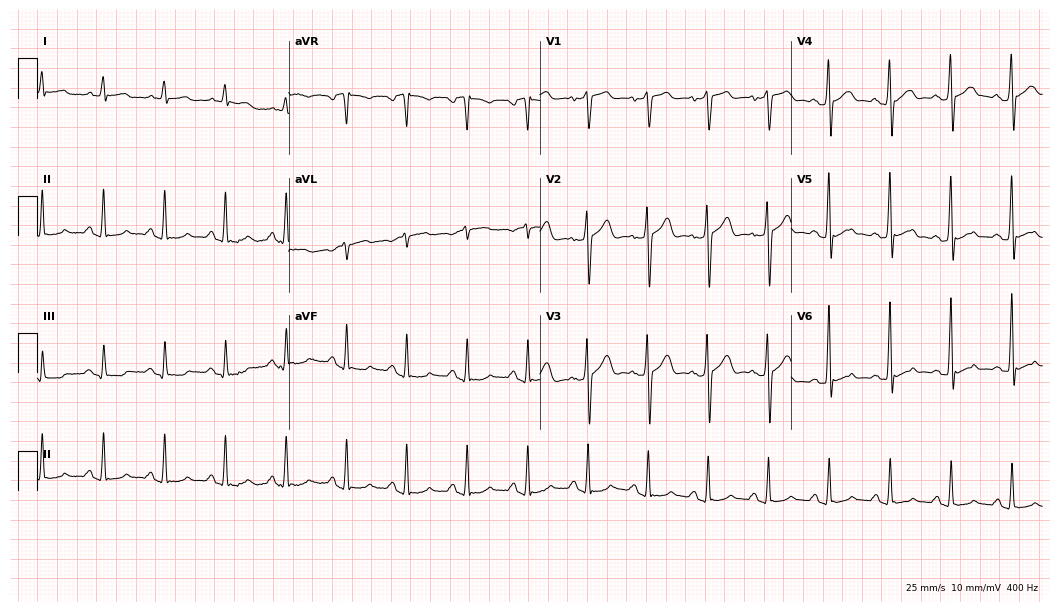
ECG — a 59-year-old male. Screened for six findings — first-degree AV block, right bundle branch block, left bundle branch block, sinus bradycardia, atrial fibrillation, sinus tachycardia — none is recorded. Other findings, if any, are not listed.